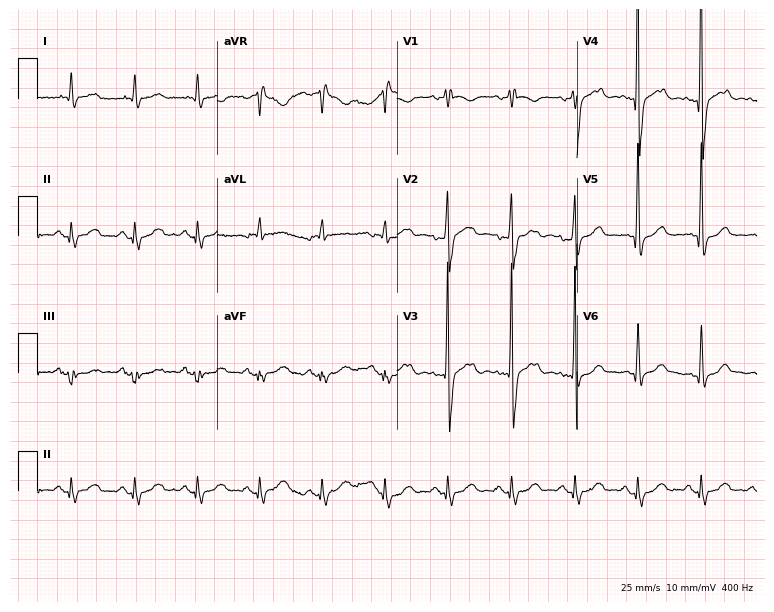
ECG — a 72-year-old male patient. Screened for six findings — first-degree AV block, right bundle branch block, left bundle branch block, sinus bradycardia, atrial fibrillation, sinus tachycardia — none is recorded. Other findings, if any, are not listed.